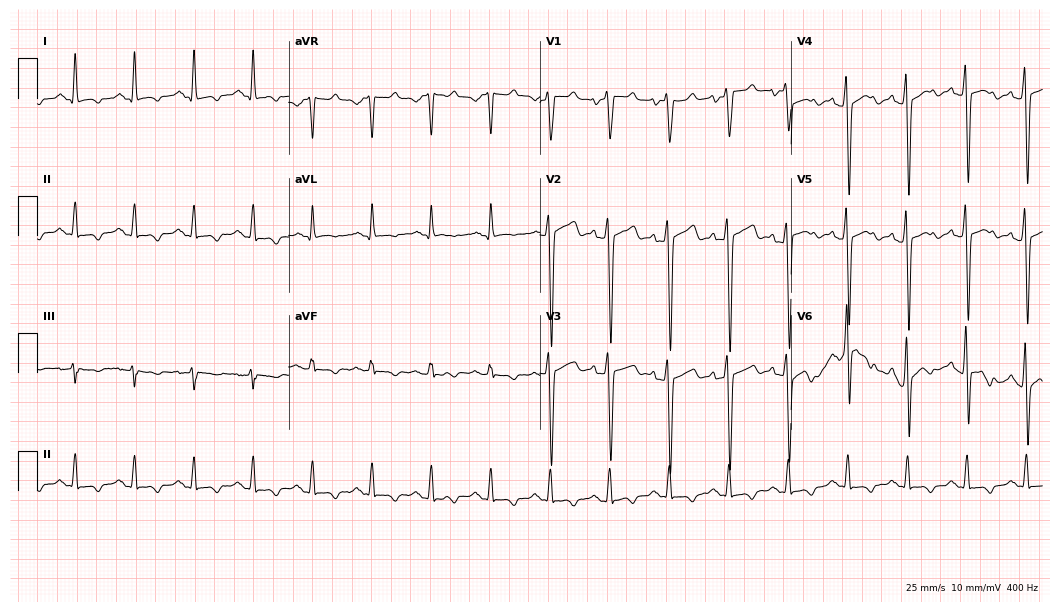
12-lead ECG from a 46-year-old male patient. Screened for six findings — first-degree AV block, right bundle branch block, left bundle branch block, sinus bradycardia, atrial fibrillation, sinus tachycardia — none is recorded. Only these six findings were labelled.